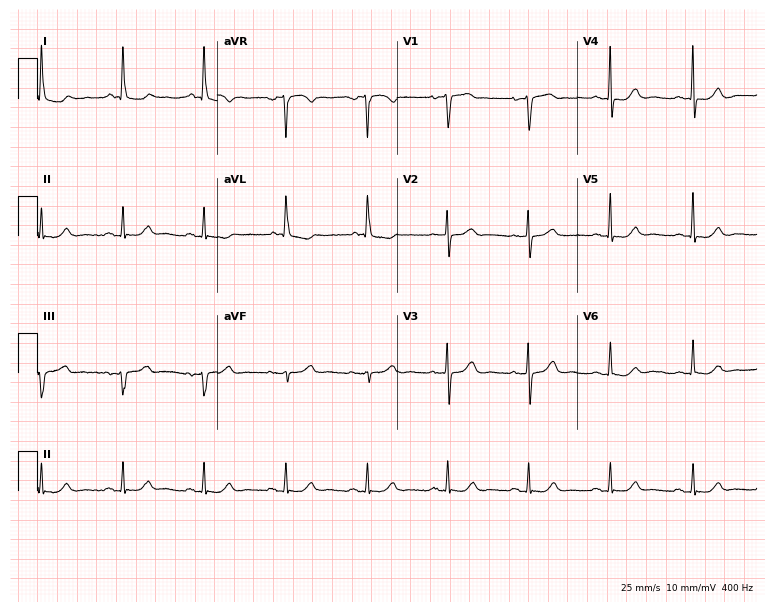
Standard 12-lead ECG recorded from a 77-year-old woman. Read as a normal ECG.